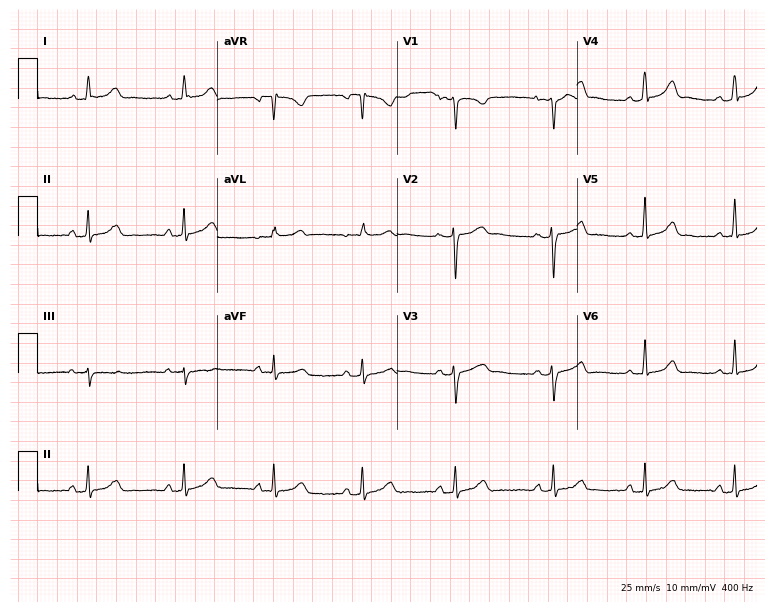
Resting 12-lead electrocardiogram. Patient: a female, 20 years old. Read as a normal ECG.